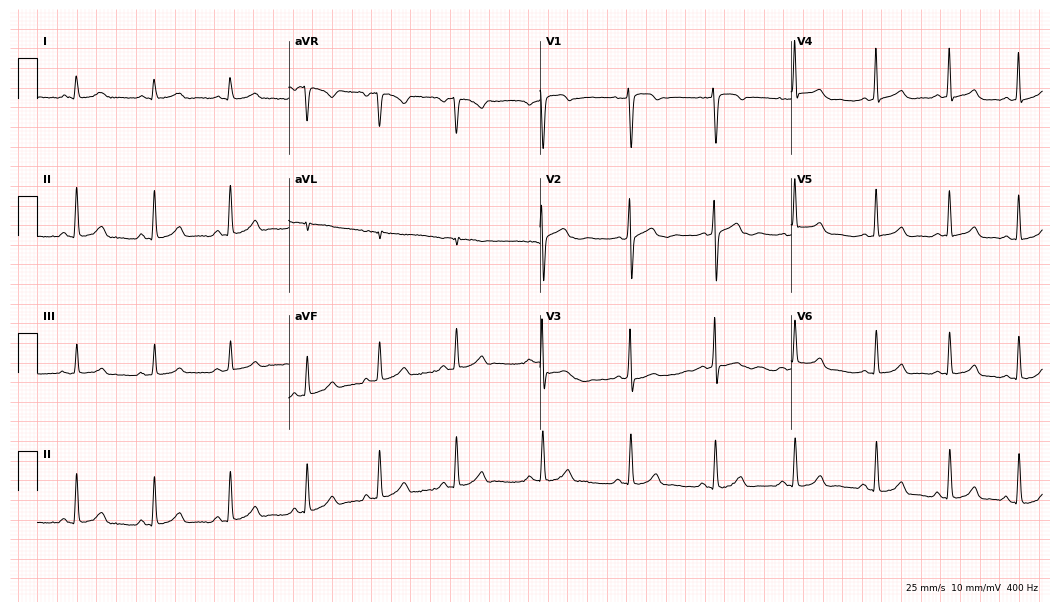
Electrocardiogram, a 30-year-old female. Overall reading on record: normal ECG.